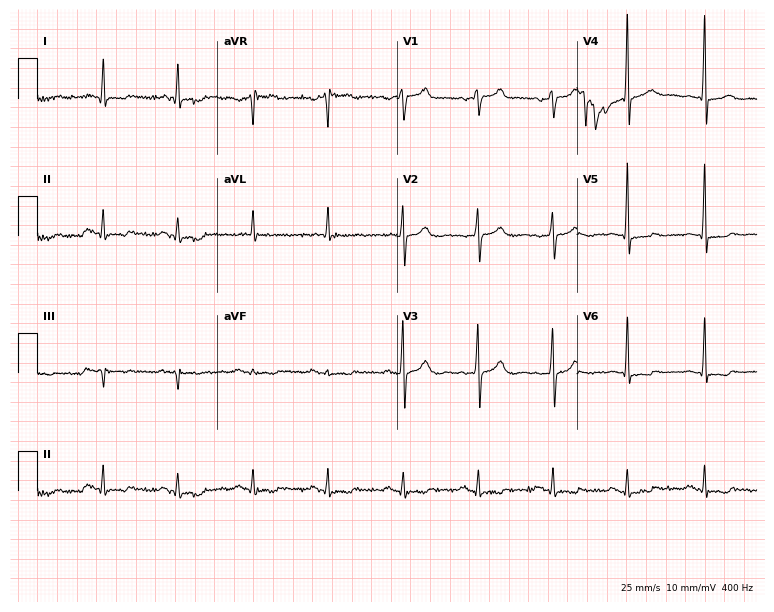
Standard 12-lead ECG recorded from a 64-year-old man (7.3-second recording at 400 Hz). None of these six findings is recorded: first-degree AV block, right bundle branch block (RBBB), left bundle branch block (LBBB), sinus bradycardia, atrial fibrillation (AF), sinus tachycardia. Other findings, if any, are not listed.